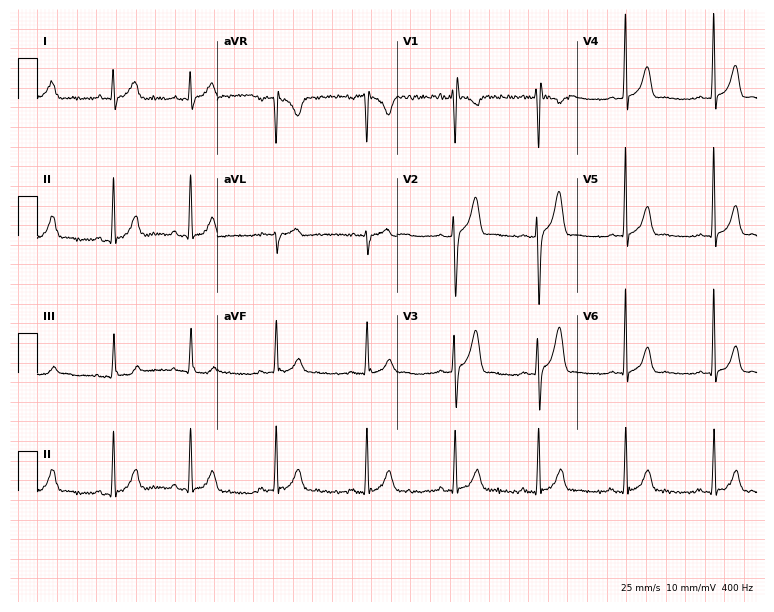
12-lead ECG from a 24-year-old male. No first-degree AV block, right bundle branch block, left bundle branch block, sinus bradycardia, atrial fibrillation or sinus tachycardia recorded for this tracing.